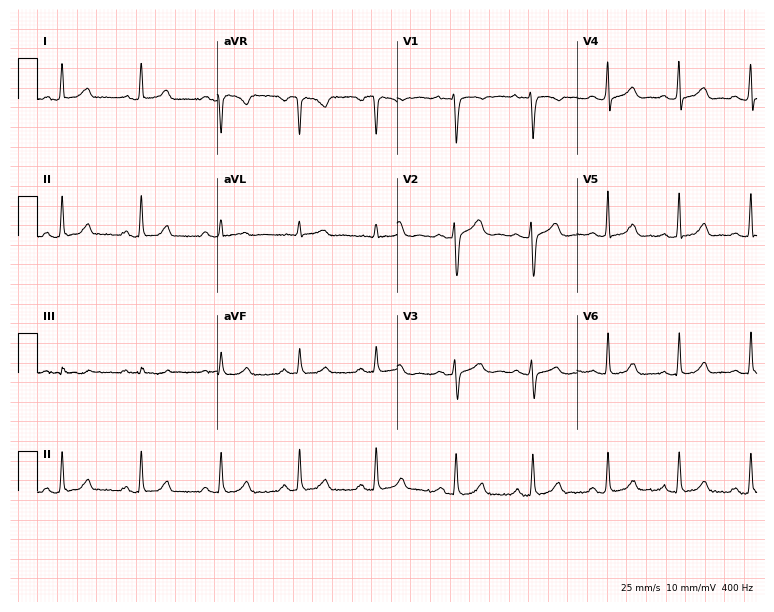
ECG — a 27-year-old female. Labelled as a normal ECG.